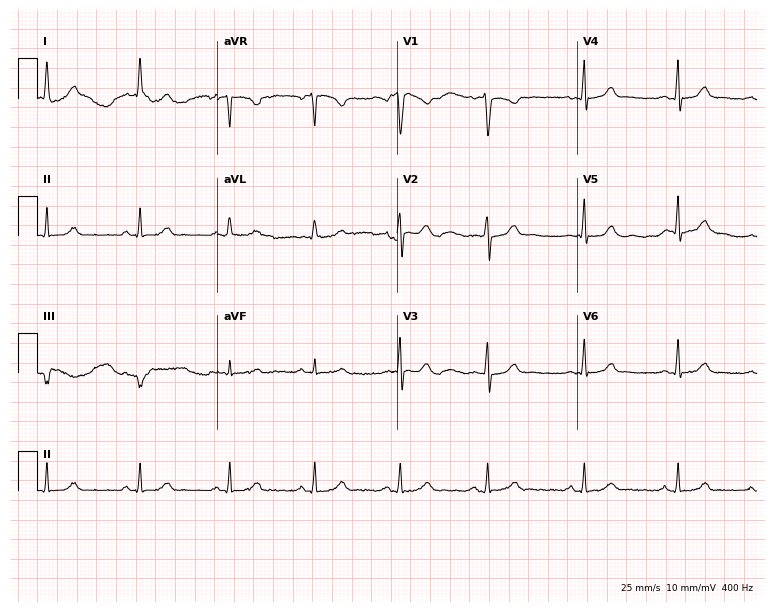
Standard 12-lead ECG recorded from a female patient, 46 years old (7.3-second recording at 400 Hz). None of these six findings is recorded: first-degree AV block, right bundle branch block (RBBB), left bundle branch block (LBBB), sinus bradycardia, atrial fibrillation (AF), sinus tachycardia. Other findings, if any, are not listed.